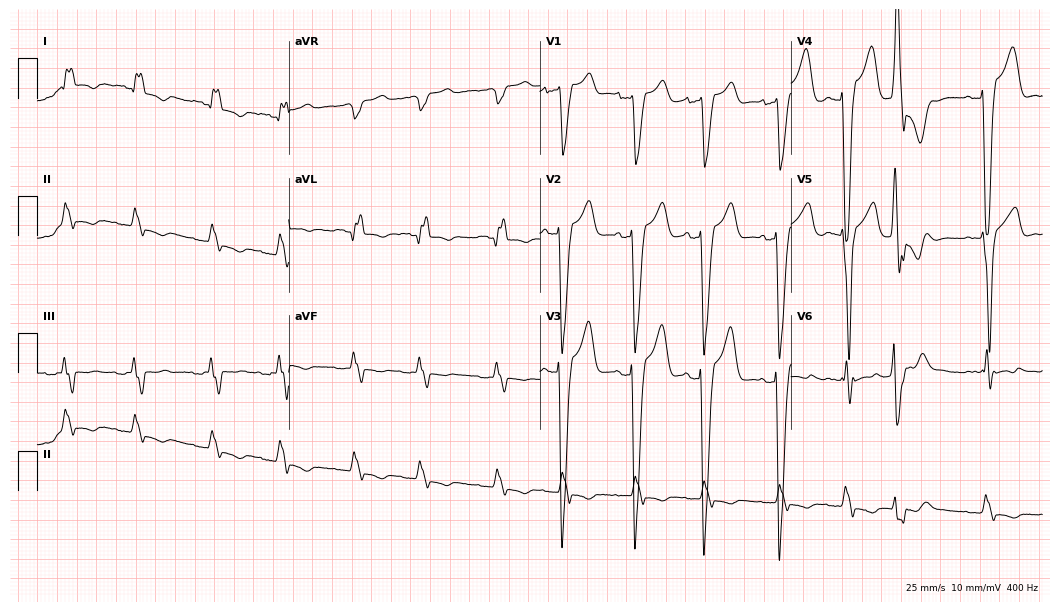
12-lead ECG from a male patient, 83 years old (10.2-second recording at 400 Hz). Shows left bundle branch block.